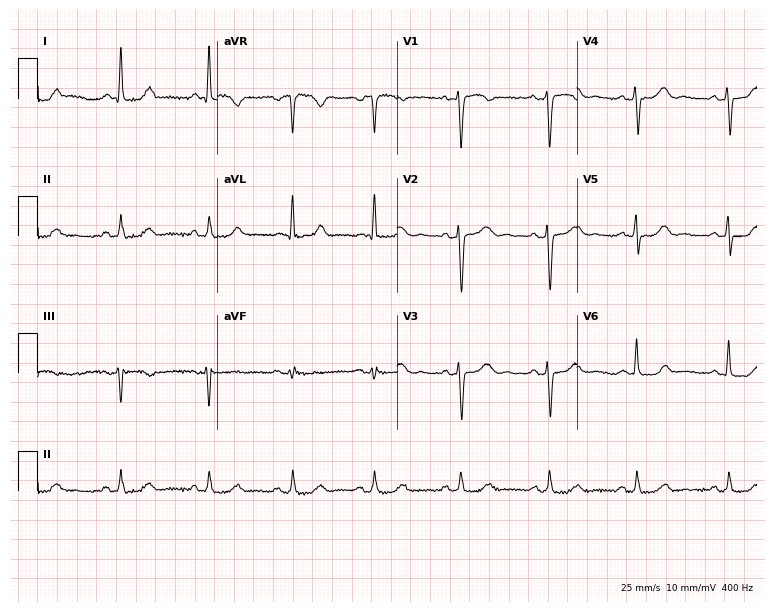
Resting 12-lead electrocardiogram. Patient: a 51-year-old female. None of these six findings is recorded: first-degree AV block, right bundle branch block (RBBB), left bundle branch block (LBBB), sinus bradycardia, atrial fibrillation (AF), sinus tachycardia.